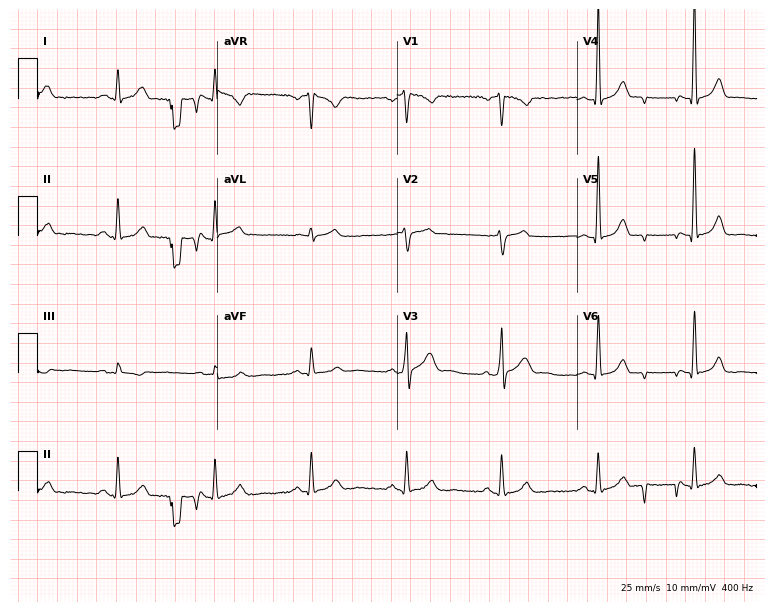
12-lead ECG from a 60-year-old male. No first-degree AV block, right bundle branch block, left bundle branch block, sinus bradycardia, atrial fibrillation or sinus tachycardia recorded for this tracing.